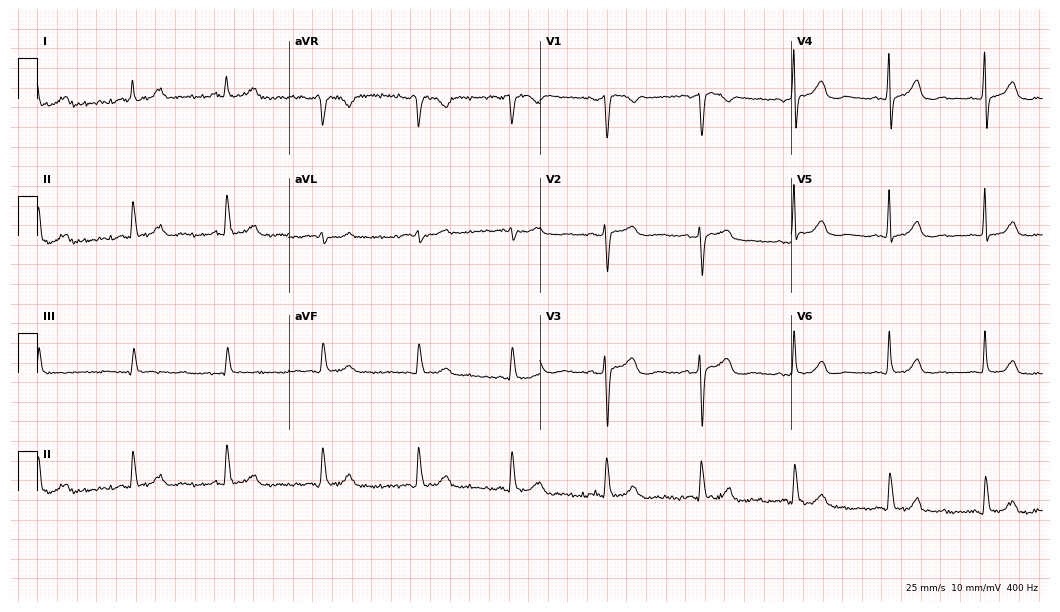
12-lead ECG from a 67-year-old female patient (10.2-second recording at 400 Hz). Recorded interpretation: within normal limits.